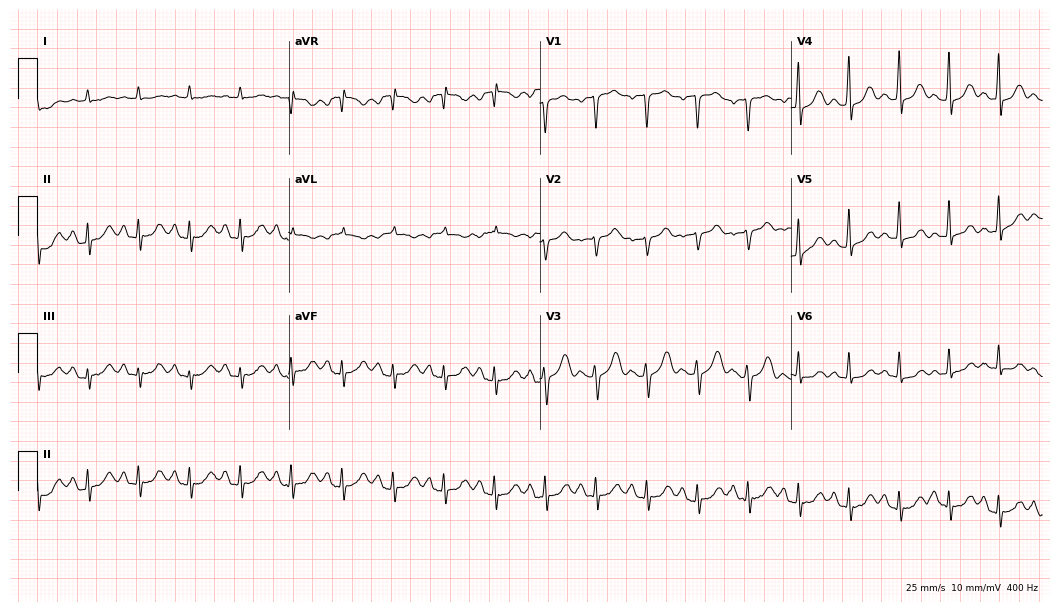
12-lead ECG from a 57-year-old male. Findings include sinus tachycardia (a sinus rate of 100 beats per minute or more).